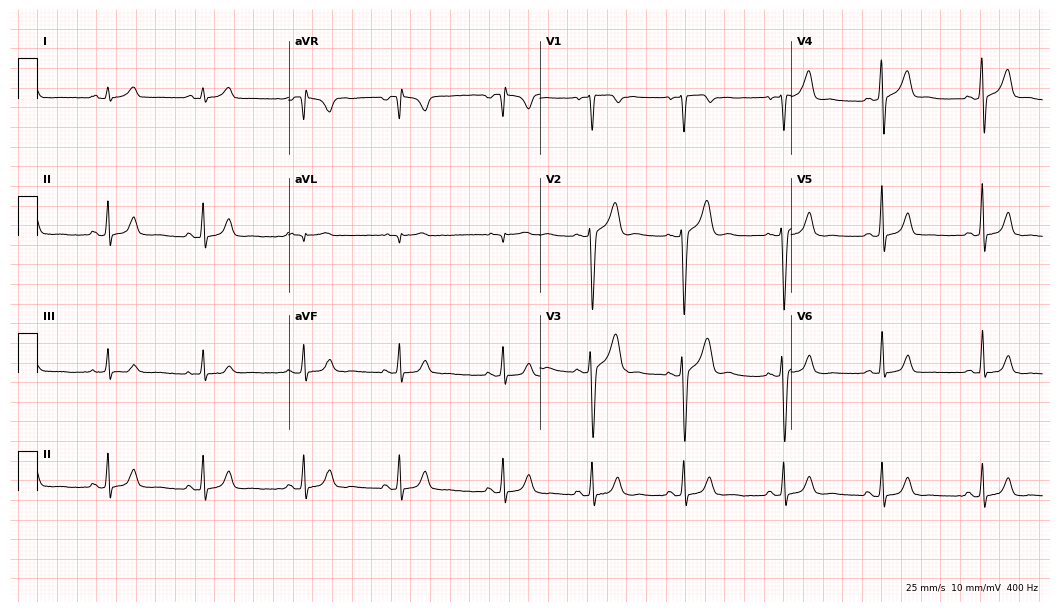
Electrocardiogram, a 32-year-old man. Overall reading on record: normal ECG.